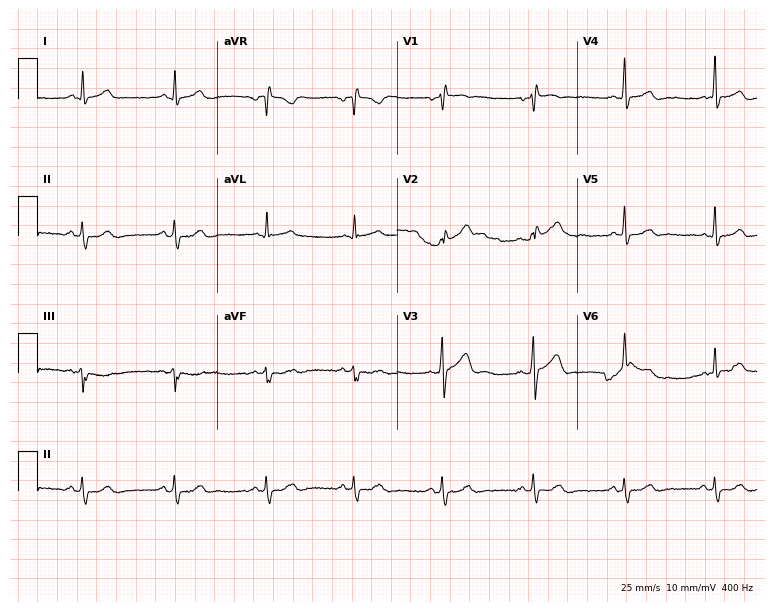
Standard 12-lead ECG recorded from a 39-year-old male patient. None of these six findings is recorded: first-degree AV block, right bundle branch block, left bundle branch block, sinus bradycardia, atrial fibrillation, sinus tachycardia.